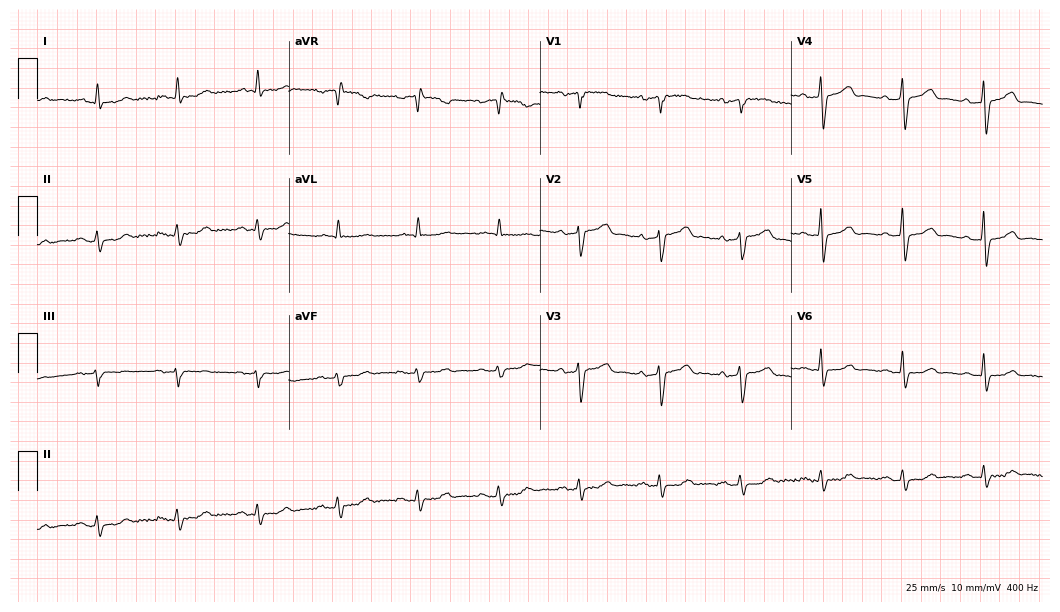
12-lead ECG from a 78-year-old male patient (10.2-second recording at 400 Hz). Recorded interpretation: within normal limits.